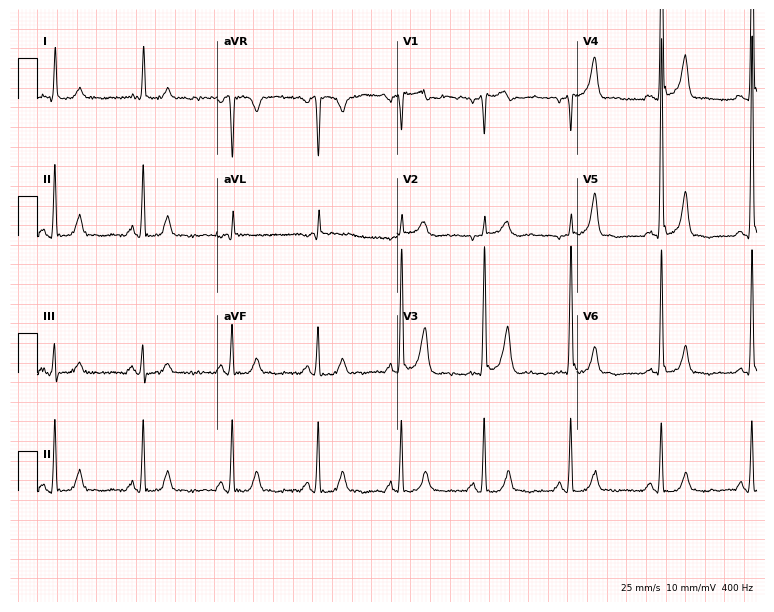
12-lead ECG from a male, 76 years old (7.3-second recording at 400 Hz). No first-degree AV block, right bundle branch block, left bundle branch block, sinus bradycardia, atrial fibrillation or sinus tachycardia recorded for this tracing. Findings outside these six are not listed.